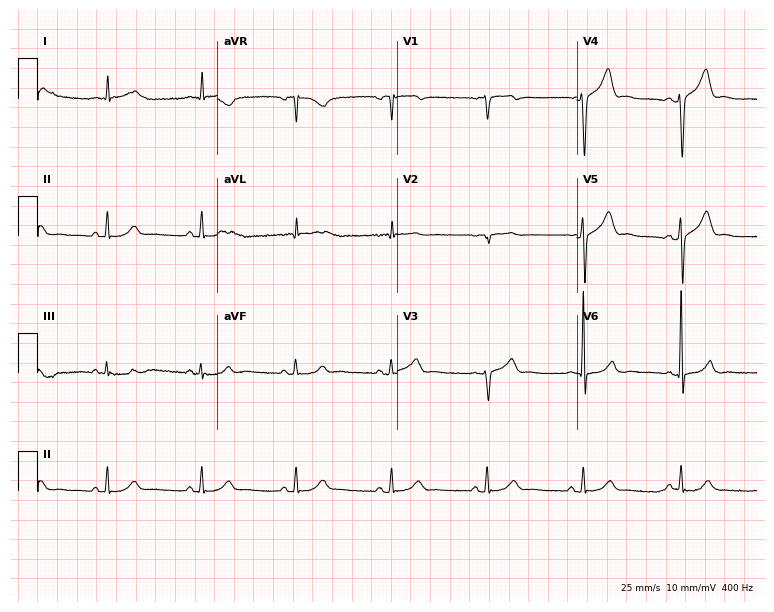
12-lead ECG from an 81-year-old male. Screened for six findings — first-degree AV block, right bundle branch block, left bundle branch block, sinus bradycardia, atrial fibrillation, sinus tachycardia — none is recorded. Findings outside these six are not listed.